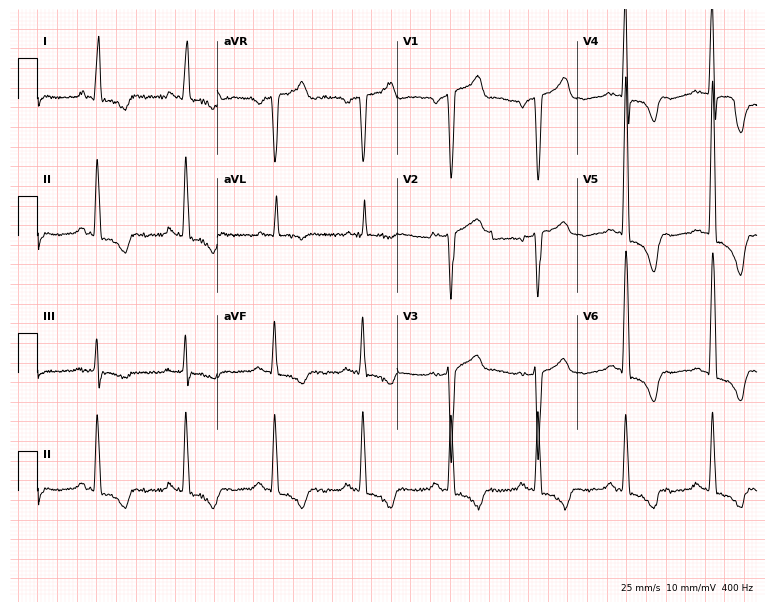
ECG (7.3-second recording at 400 Hz) — a 60-year-old male patient. Screened for six findings — first-degree AV block, right bundle branch block (RBBB), left bundle branch block (LBBB), sinus bradycardia, atrial fibrillation (AF), sinus tachycardia — none is recorded. Only these six findings were labelled.